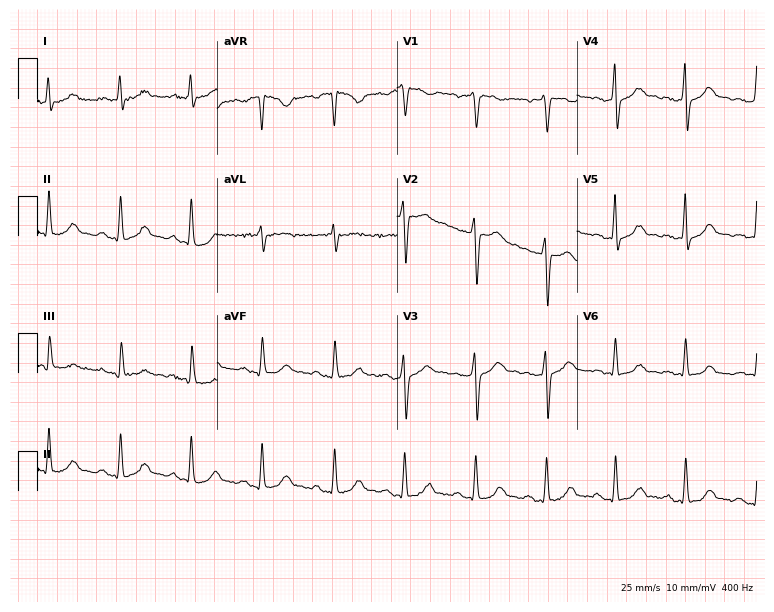
Resting 12-lead electrocardiogram (7.3-second recording at 400 Hz). Patient: a 57-year-old male. None of these six findings is recorded: first-degree AV block, right bundle branch block, left bundle branch block, sinus bradycardia, atrial fibrillation, sinus tachycardia.